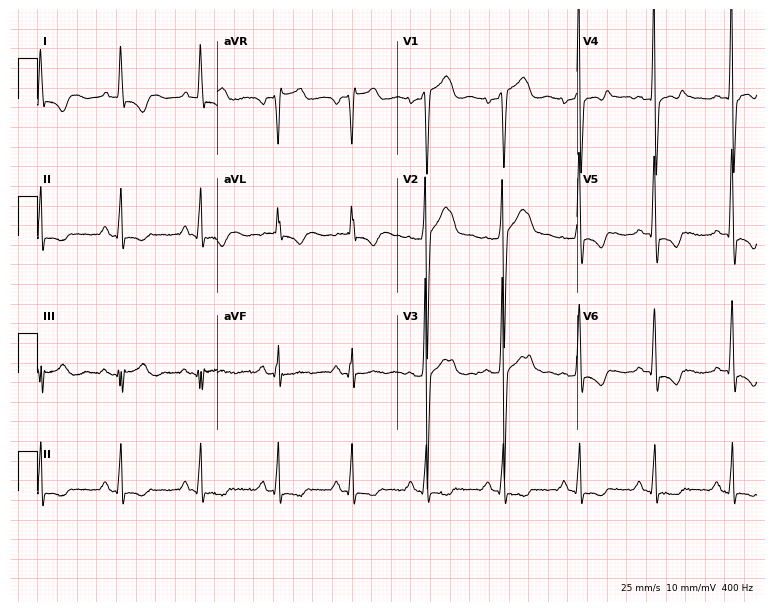
Electrocardiogram, a 54-year-old man. Of the six screened findings (first-degree AV block, right bundle branch block, left bundle branch block, sinus bradycardia, atrial fibrillation, sinus tachycardia), none is recorded. Findings outside these six are not listed.